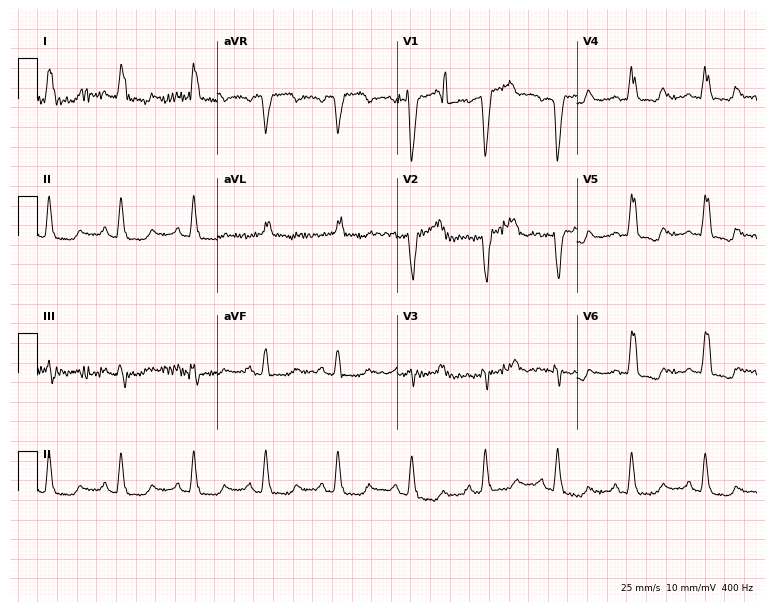
12-lead ECG from a 72-year-old woman. Findings include left bundle branch block (LBBB).